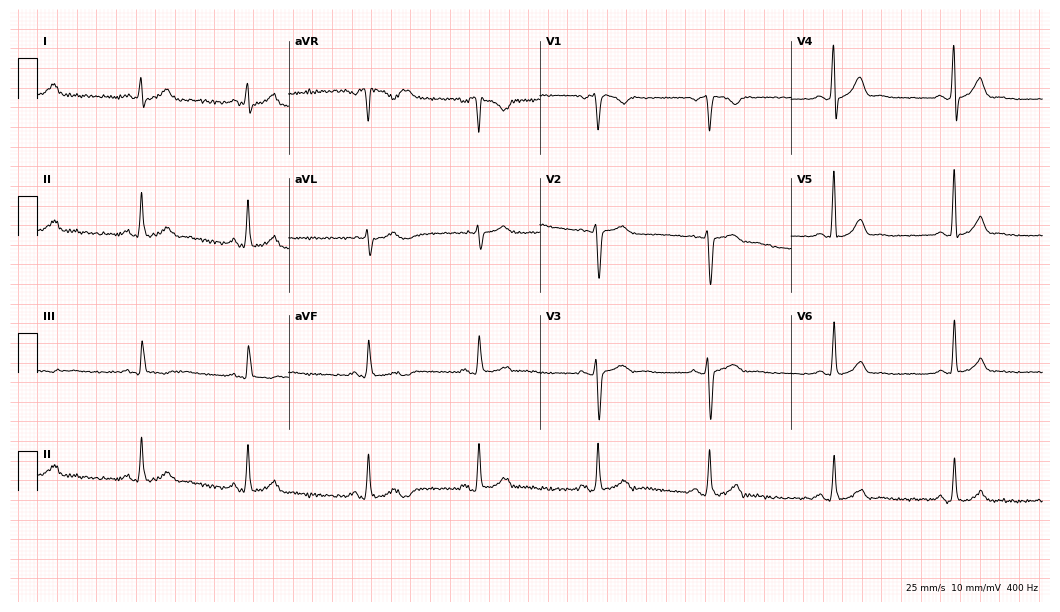
Electrocardiogram, a man, 35 years old. Overall reading on record: normal ECG.